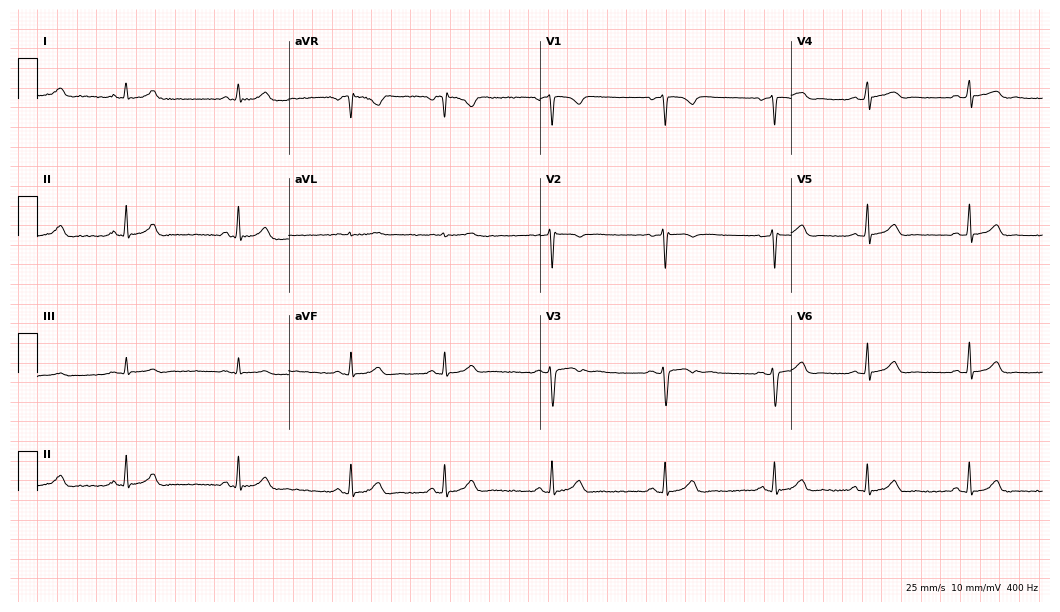
ECG — a woman, 22 years old. Labelled as a normal ECG.